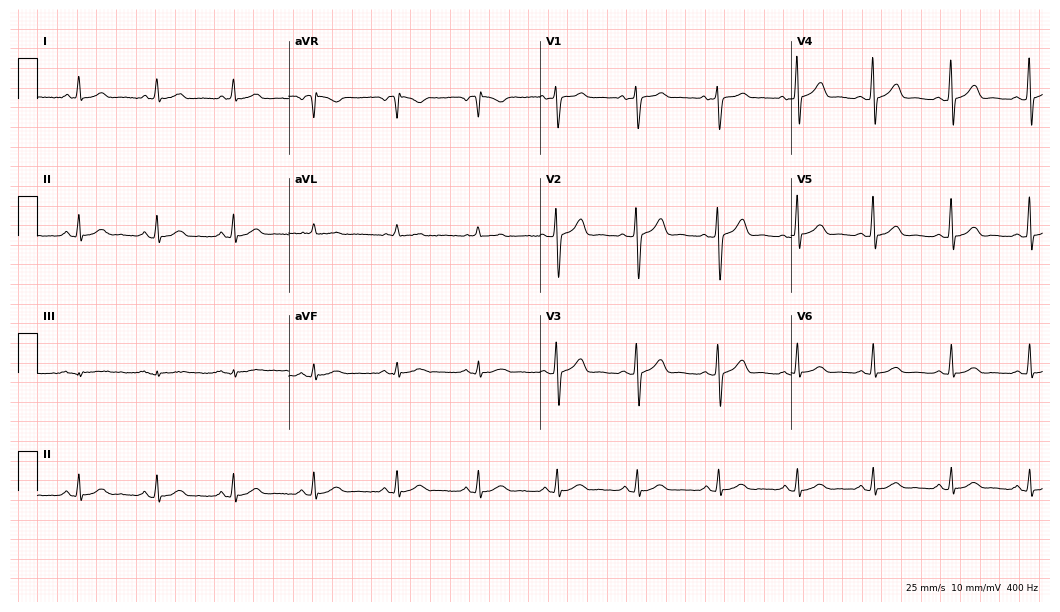
ECG (10.2-second recording at 400 Hz) — a 34-year-old female patient. Labelled as a normal ECG.